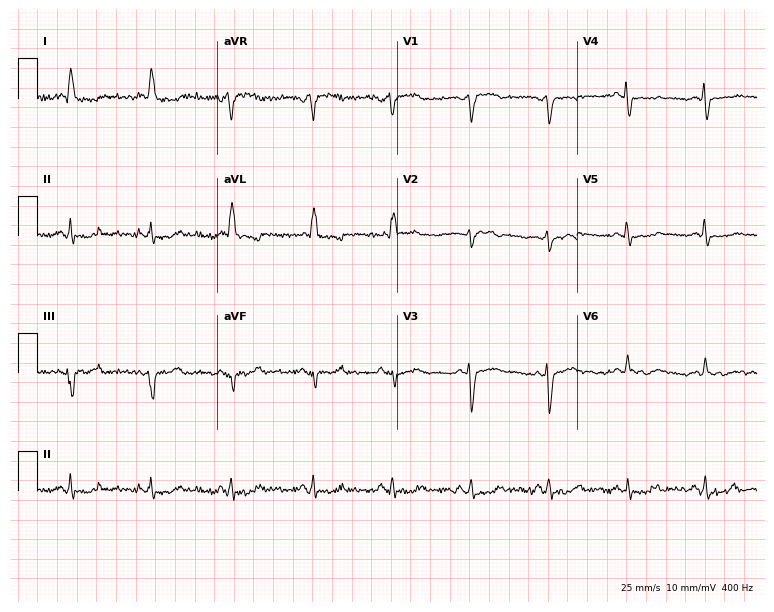
Standard 12-lead ECG recorded from a female patient, 64 years old (7.3-second recording at 400 Hz). None of these six findings is recorded: first-degree AV block, right bundle branch block (RBBB), left bundle branch block (LBBB), sinus bradycardia, atrial fibrillation (AF), sinus tachycardia. Other findings, if any, are not listed.